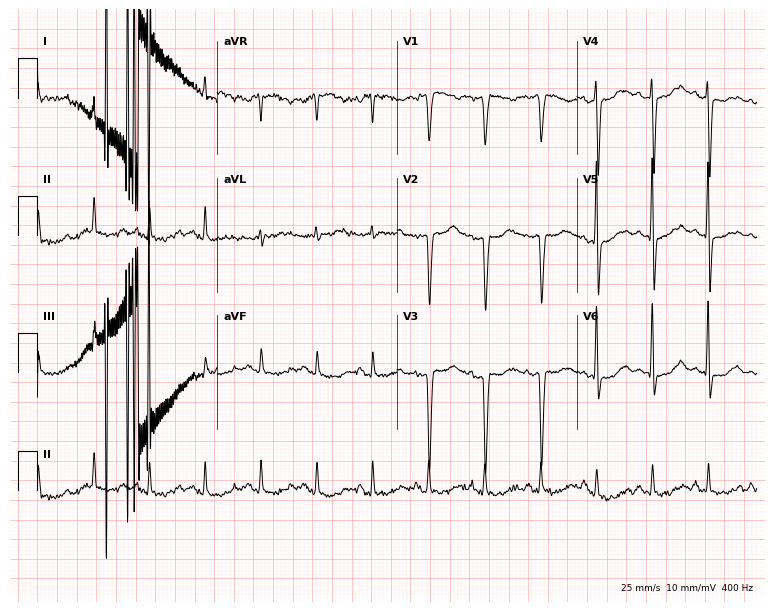
Electrocardiogram (7.3-second recording at 400 Hz), a man, 60 years old. Interpretation includes sinus tachycardia (a sinus rate of 100 beats per minute or more).